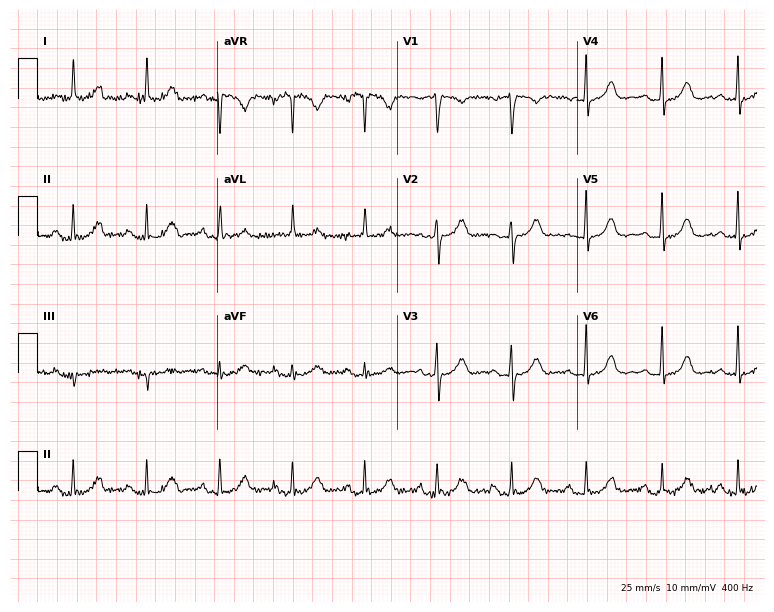
Resting 12-lead electrocardiogram. Patient: a female, 75 years old. None of these six findings is recorded: first-degree AV block, right bundle branch block, left bundle branch block, sinus bradycardia, atrial fibrillation, sinus tachycardia. Findings outside these six are not listed.